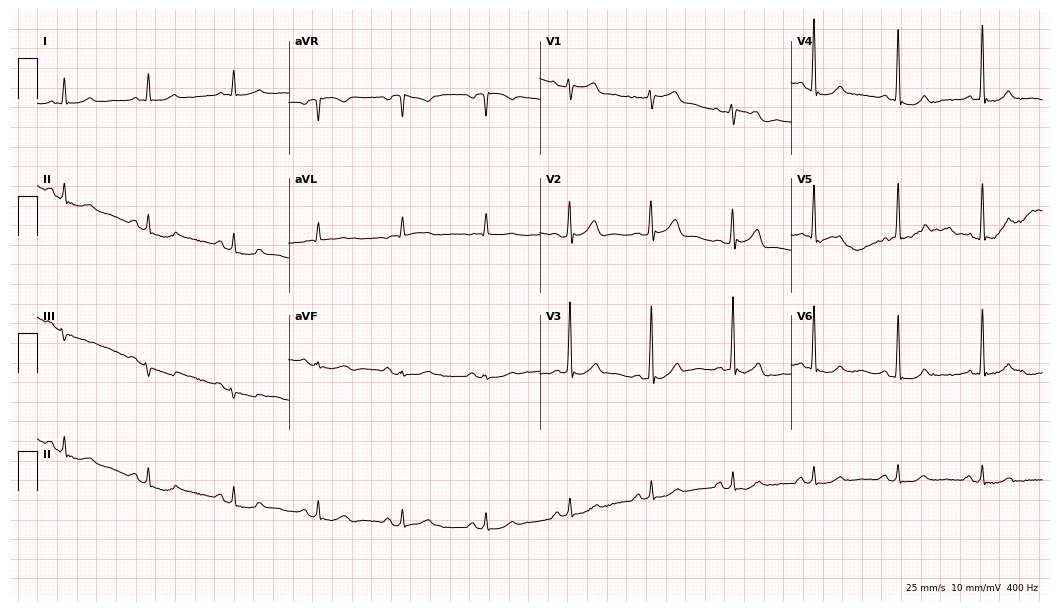
ECG — a 77-year-old male patient. Labelled as a normal ECG.